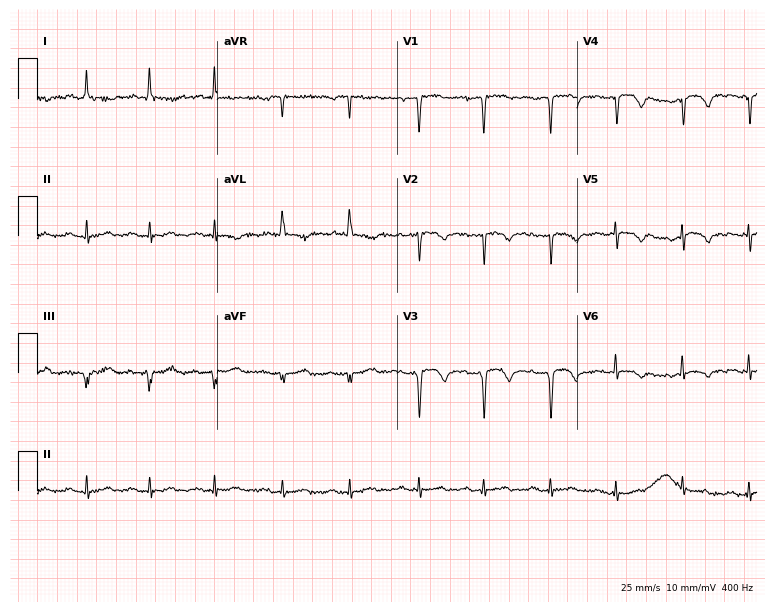
Resting 12-lead electrocardiogram (7.3-second recording at 400 Hz). Patient: a 62-year-old female. None of these six findings is recorded: first-degree AV block, right bundle branch block, left bundle branch block, sinus bradycardia, atrial fibrillation, sinus tachycardia. Only these six findings were labelled.